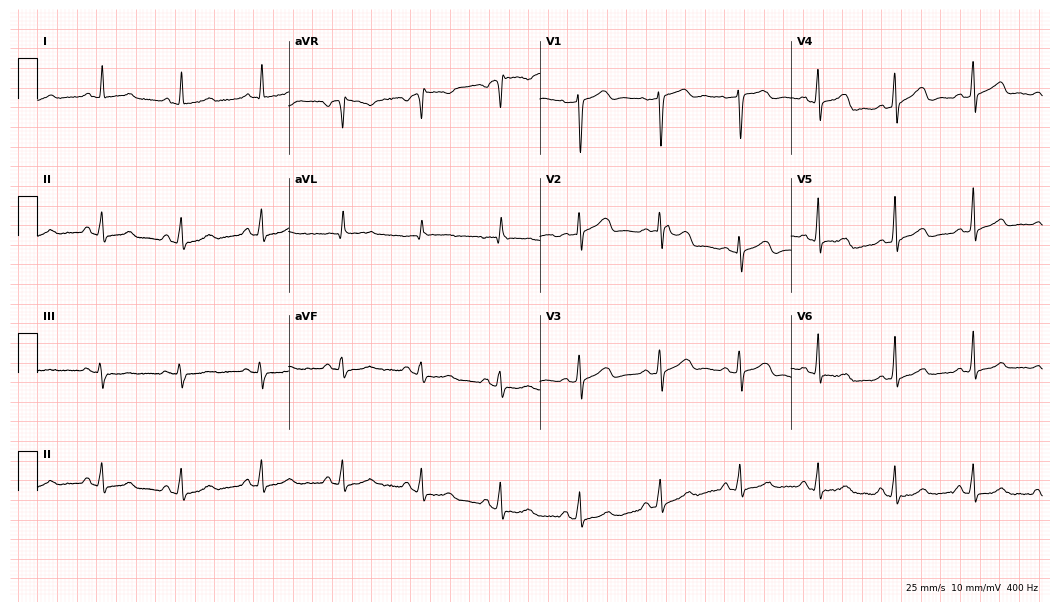
Standard 12-lead ECG recorded from a 55-year-old female patient (10.2-second recording at 400 Hz). None of these six findings is recorded: first-degree AV block, right bundle branch block (RBBB), left bundle branch block (LBBB), sinus bradycardia, atrial fibrillation (AF), sinus tachycardia. Other findings, if any, are not listed.